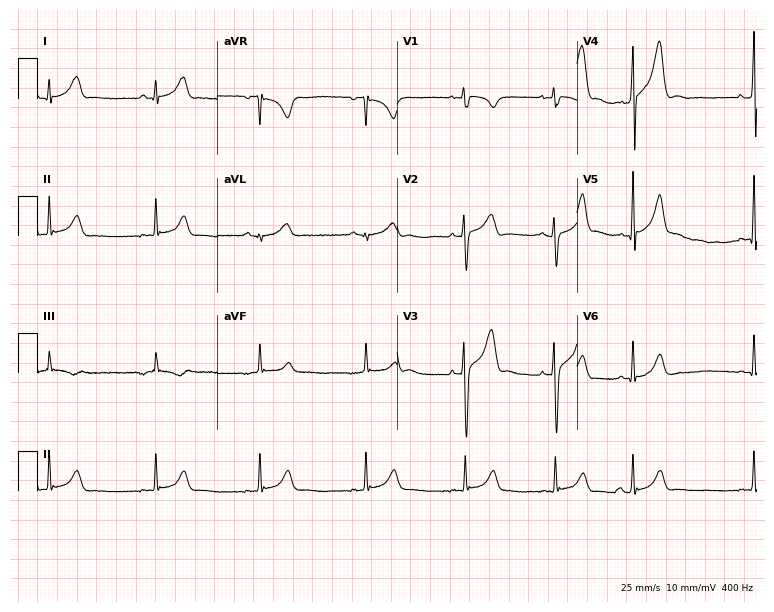
Electrocardiogram, a 22-year-old man. Of the six screened findings (first-degree AV block, right bundle branch block (RBBB), left bundle branch block (LBBB), sinus bradycardia, atrial fibrillation (AF), sinus tachycardia), none is recorded.